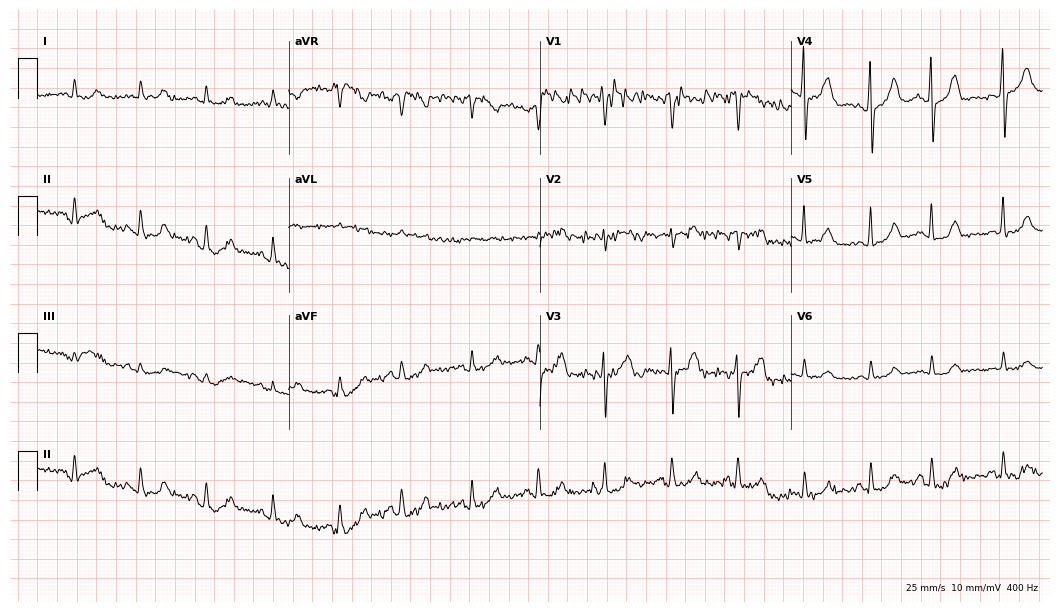
Standard 12-lead ECG recorded from a woman, 85 years old. Read as a normal ECG.